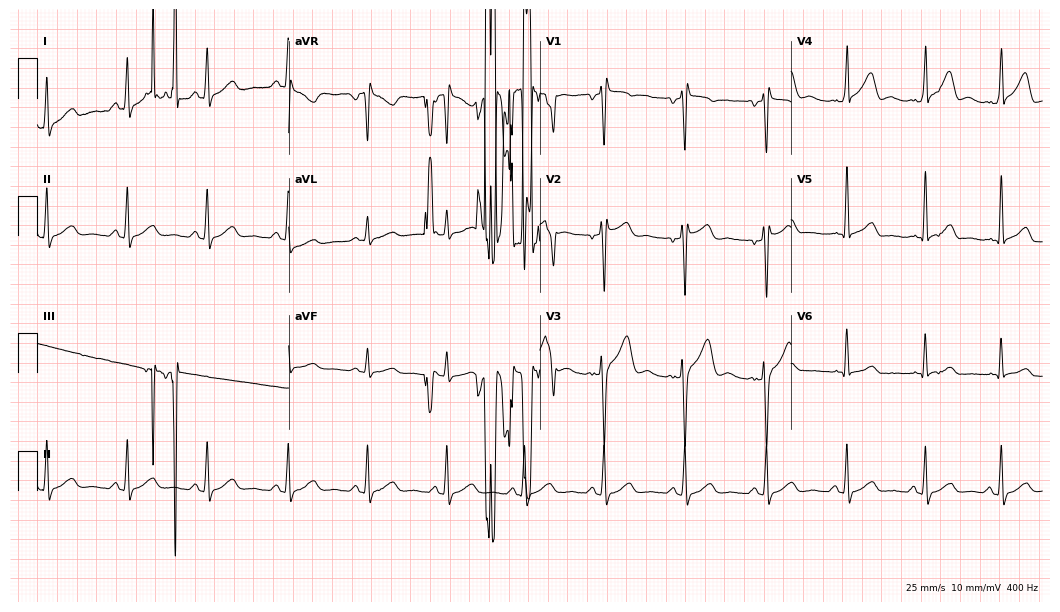
12-lead ECG from a 44-year-old man. Labelled as a normal ECG.